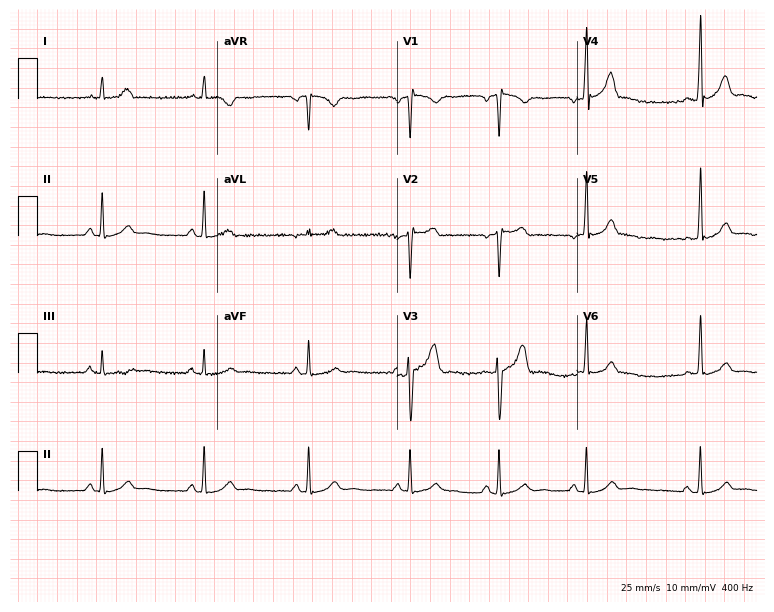
Standard 12-lead ECG recorded from a male, 24 years old (7.3-second recording at 400 Hz). None of these six findings is recorded: first-degree AV block, right bundle branch block (RBBB), left bundle branch block (LBBB), sinus bradycardia, atrial fibrillation (AF), sinus tachycardia.